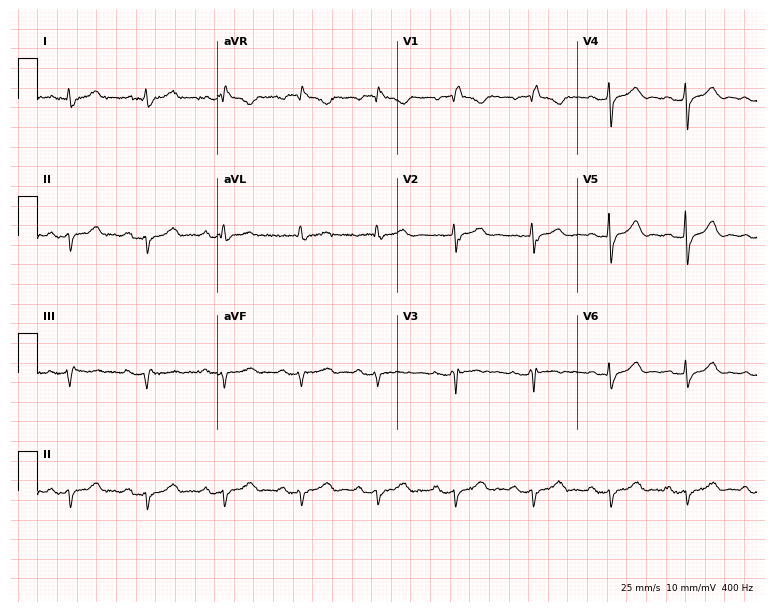
ECG — an 82-year-old female patient. Screened for six findings — first-degree AV block, right bundle branch block, left bundle branch block, sinus bradycardia, atrial fibrillation, sinus tachycardia — none is recorded. Other findings, if any, are not listed.